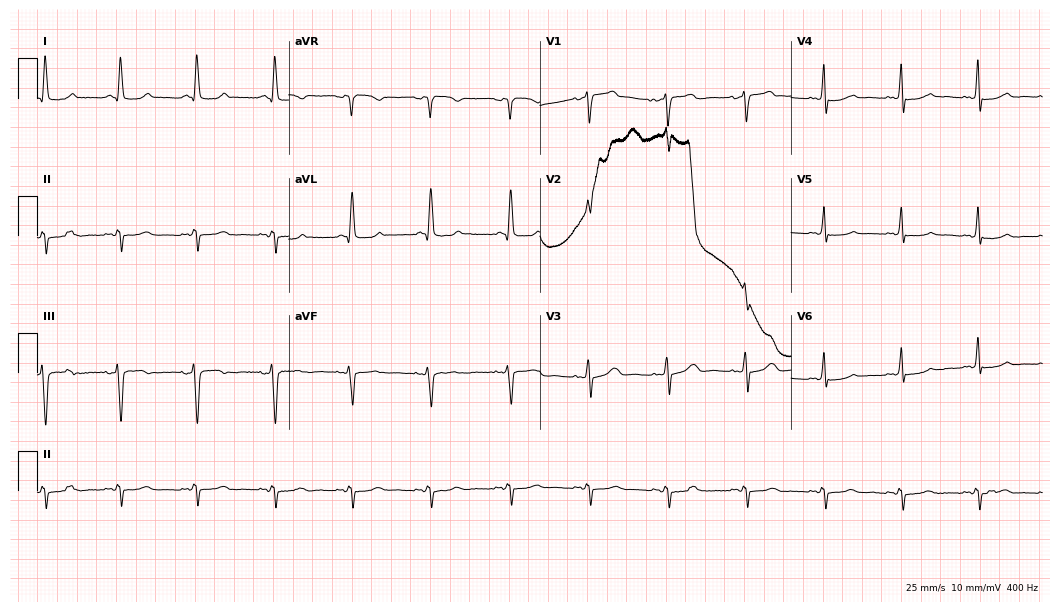
ECG (10.2-second recording at 400 Hz) — a female patient, 62 years old. Screened for six findings — first-degree AV block, right bundle branch block (RBBB), left bundle branch block (LBBB), sinus bradycardia, atrial fibrillation (AF), sinus tachycardia — none is recorded.